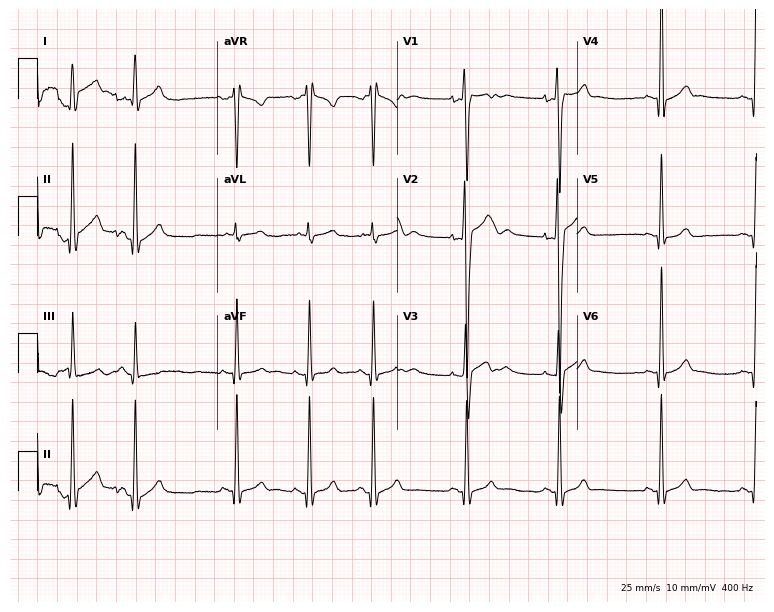
Resting 12-lead electrocardiogram. Patient: a man, 18 years old. Read as a normal ECG.